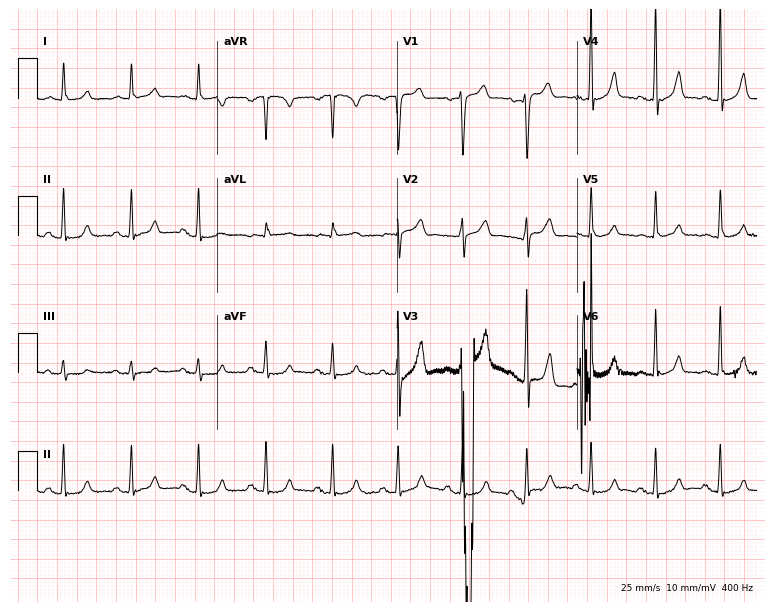
ECG (7.3-second recording at 400 Hz) — a male, 54 years old. Screened for six findings — first-degree AV block, right bundle branch block, left bundle branch block, sinus bradycardia, atrial fibrillation, sinus tachycardia — none is recorded. Findings outside these six are not listed.